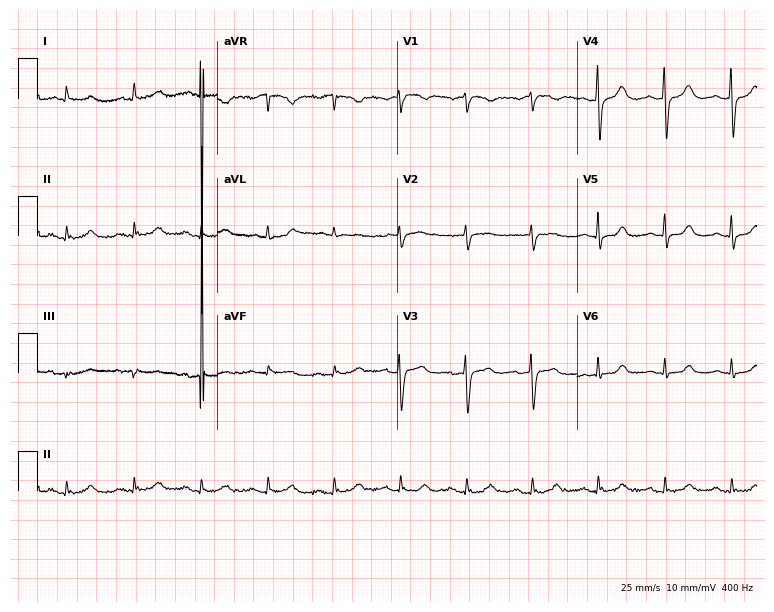
12-lead ECG from a 74-year-old female patient. Screened for six findings — first-degree AV block, right bundle branch block, left bundle branch block, sinus bradycardia, atrial fibrillation, sinus tachycardia — none is recorded. Only these six findings were labelled.